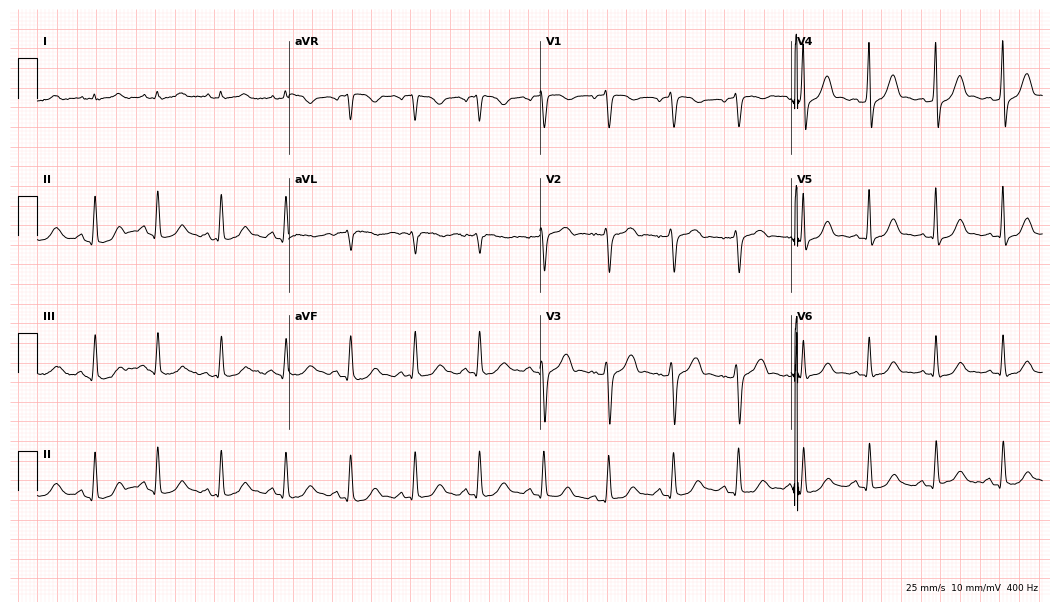
12-lead ECG (10.2-second recording at 400 Hz) from a 63-year-old man. Screened for six findings — first-degree AV block, right bundle branch block, left bundle branch block, sinus bradycardia, atrial fibrillation, sinus tachycardia — none is recorded. Findings outside these six are not listed.